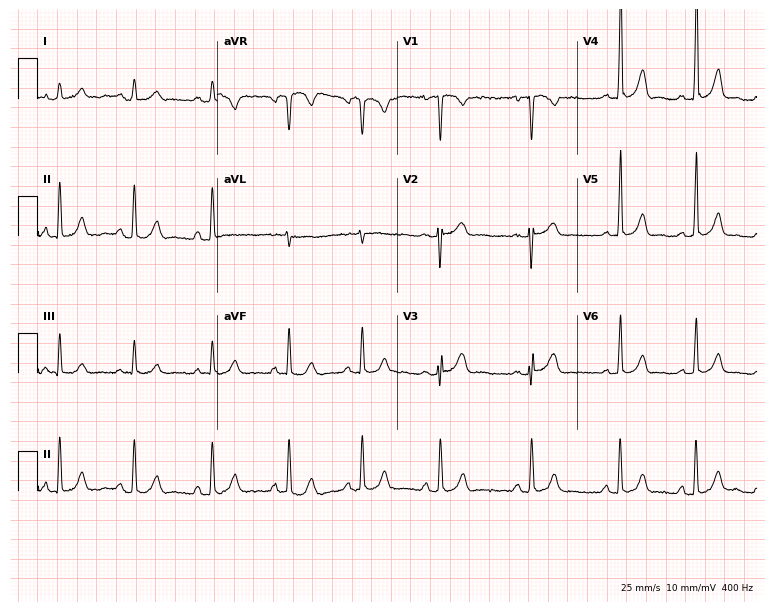
Standard 12-lead ECG recorded from a woman, 19 years old. None of these six findings is recorded: first-degree AV block, right bundle branch block (RBBB), left bundle branch block (LBBB), sinus bradycardia, atrial fibrillation (AF), sinus tachycardia.